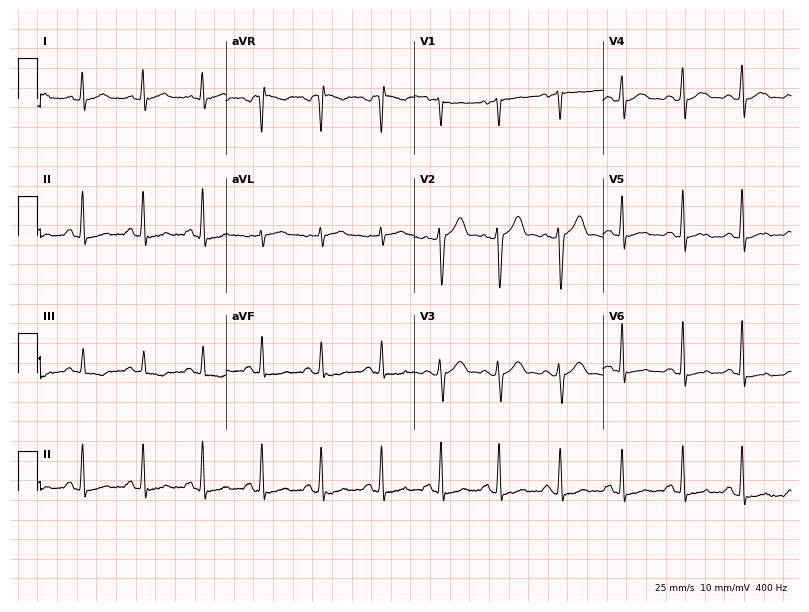
Electrocardiogram, a 17-year-old male. Of the six screened findings (first-degree AV block, right bundle branch block (RBBB), left bundle branch block (LBBB), sinus bradycardia, atrial fibrillation (AF), sinus tachycardia), none is recorded.